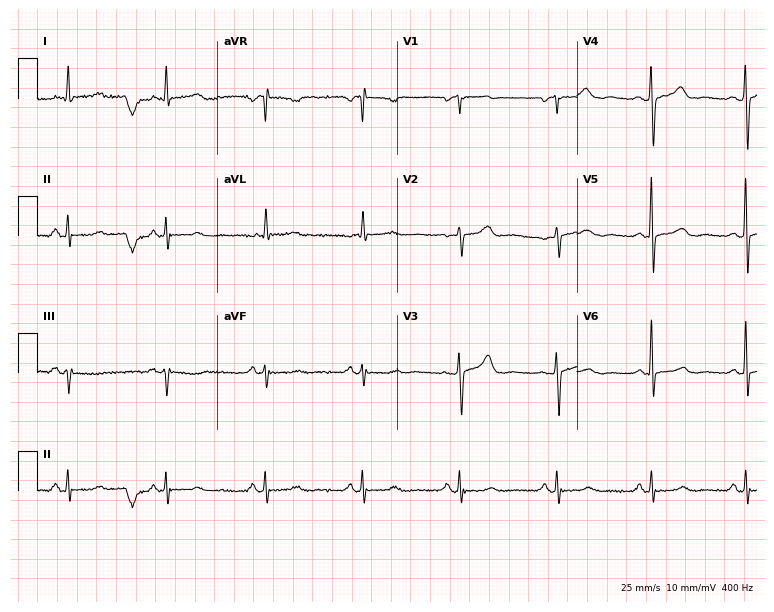
Electrocardiogram, an 84-year-old woman. Of the six screened findings (first-degree AV block, right bundle branch block (RBBB), left bundle branch block (LBBB), sinus bradycardia, atrial fibrillation (AF), sinus tachycardia), none is recorded. Only these six findings were labelled.